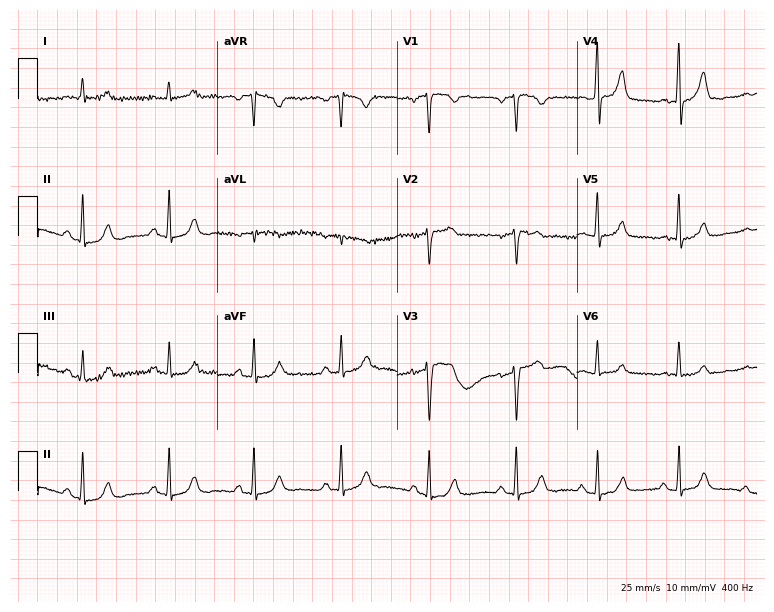
Electrocardiogram (7.3-second recording at 400 Hz), a 55-year-old male patient. Overall reading on record: normal ECG.